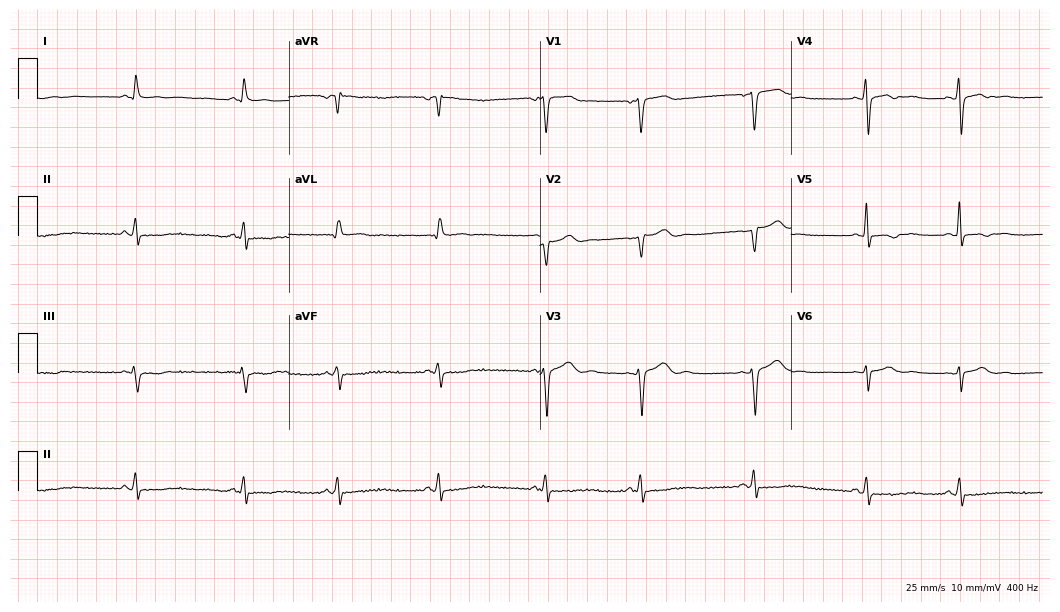
Resting 12-lead electrocardiogram. Patient: a man, 32 years old. Read as a normal ECG.